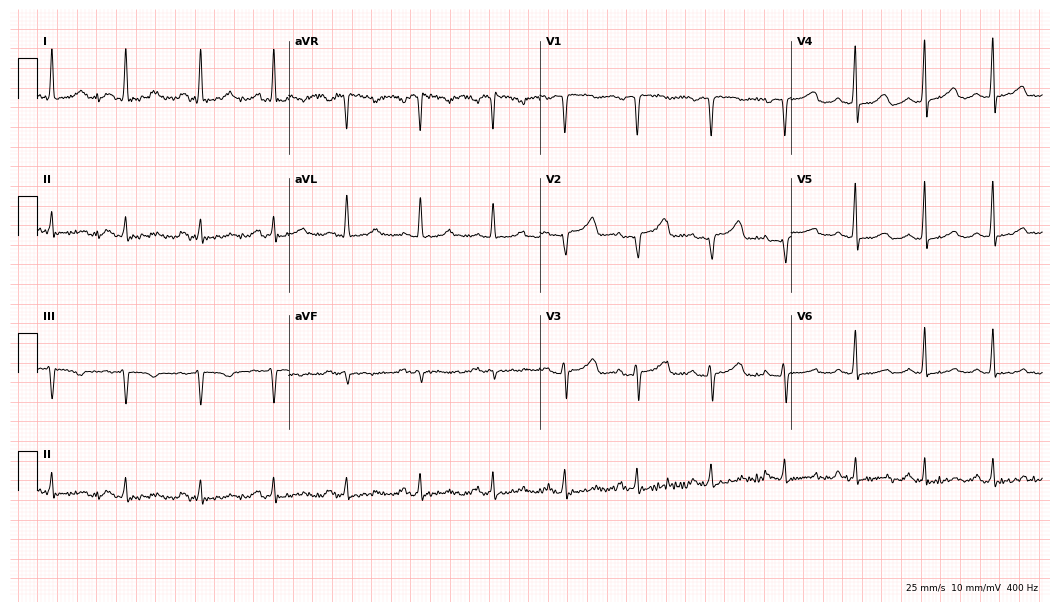
Electrocardiogram (10.2-second recording at 400 Hz), a 33-year-old woman. Of the six screened findings (first-degree AV block, right bundle branch block (RBBB), left bundle branch block (LBBB), sinus bradycardia, atrial fibrillation (AF), sinus tachycardia), none is recorded.